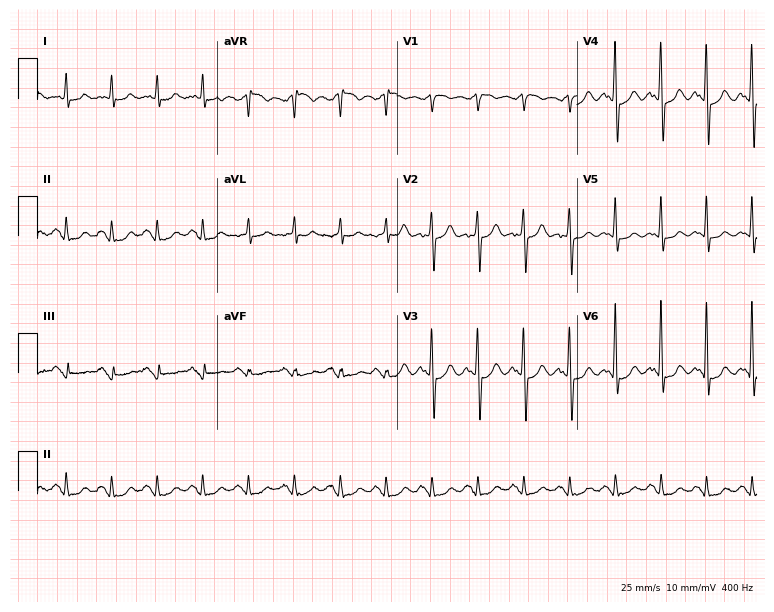
Electrocardiogram (7.3-second recording at 400 Hz), a 65-year-old male patient. Interpretation includes sinus tachycardia (a sinus rate of 100 beats per minute or more).